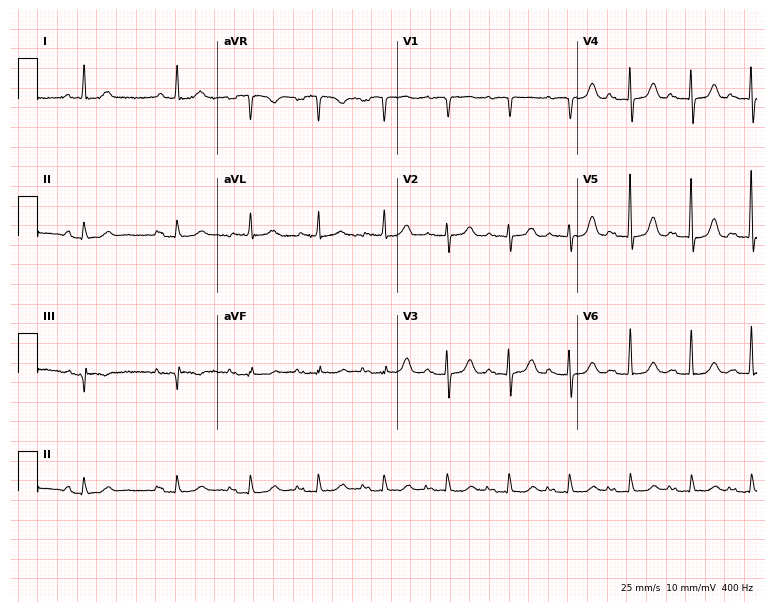
12-lead ECG from an 80-year-old female patient. Labelled as a normal ECG.